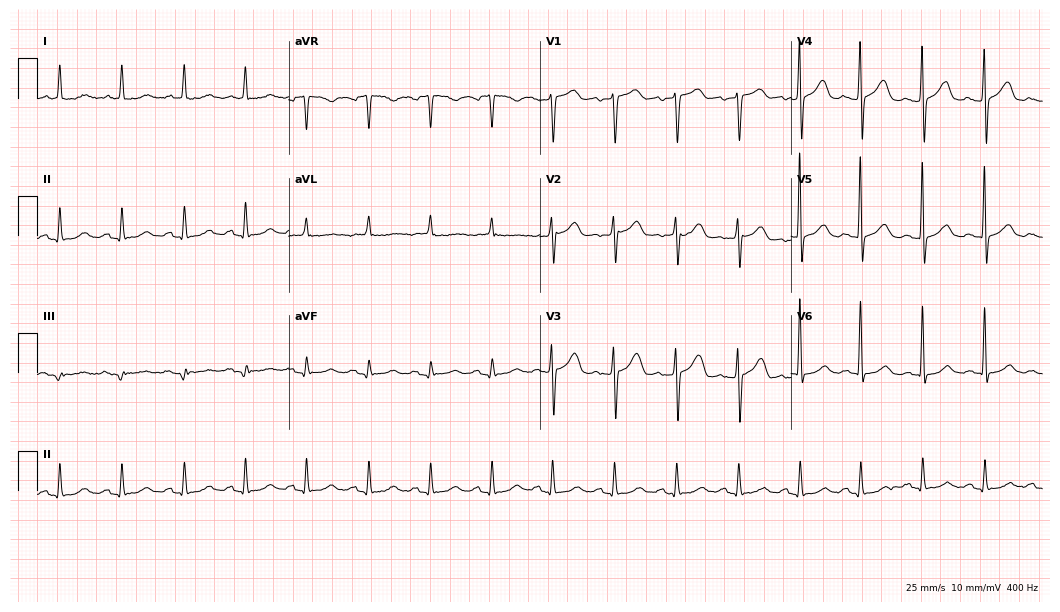
Standard 12-lead ECG recorded from a 75-year-old female patient. Read as a normal ECG.